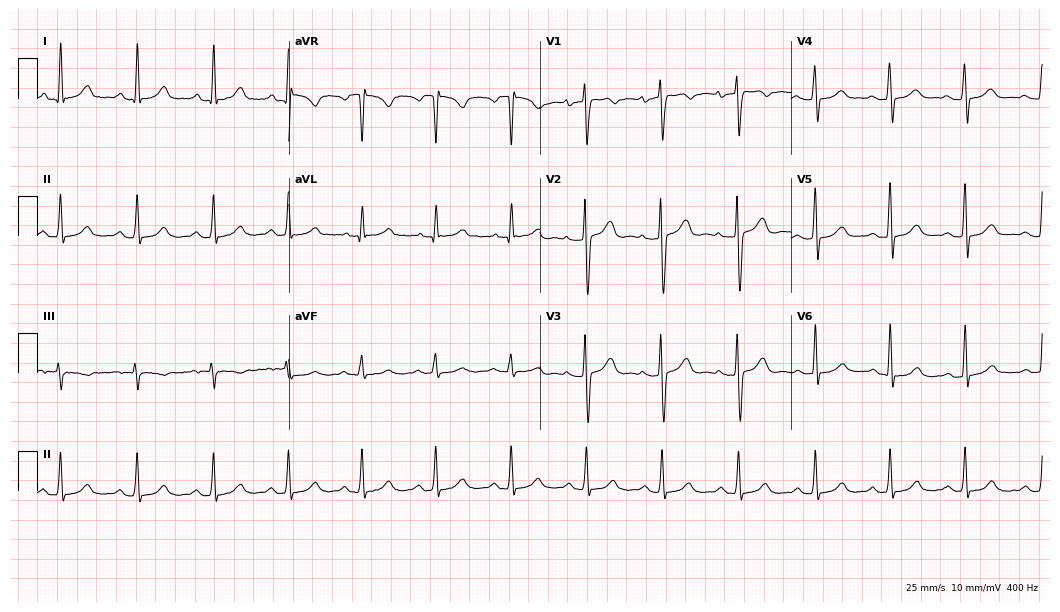
Electrocardiogram (10.2-second recording at 400 Hz), a woman, 39 years old. Overall reading on record: normal ECG.